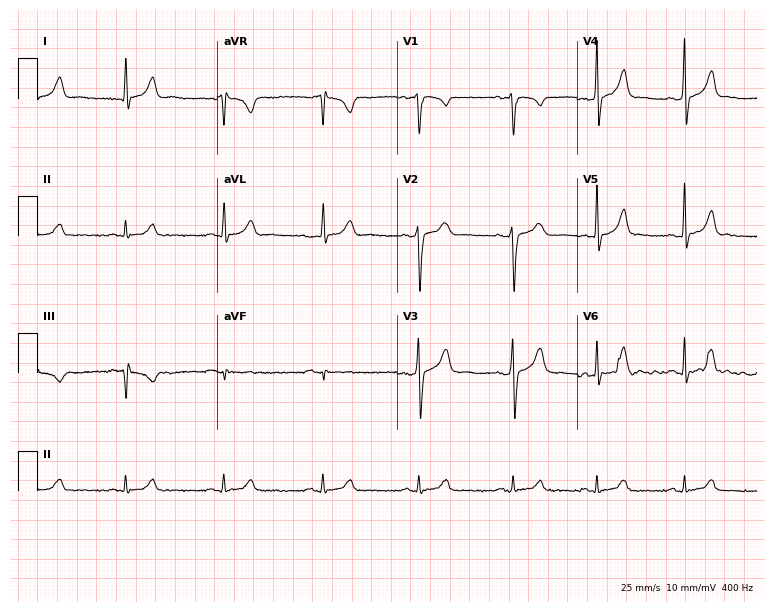
Resting 12-lead electrocardiogram. Patient: a man, 29 years old. Read as a normal ECG.